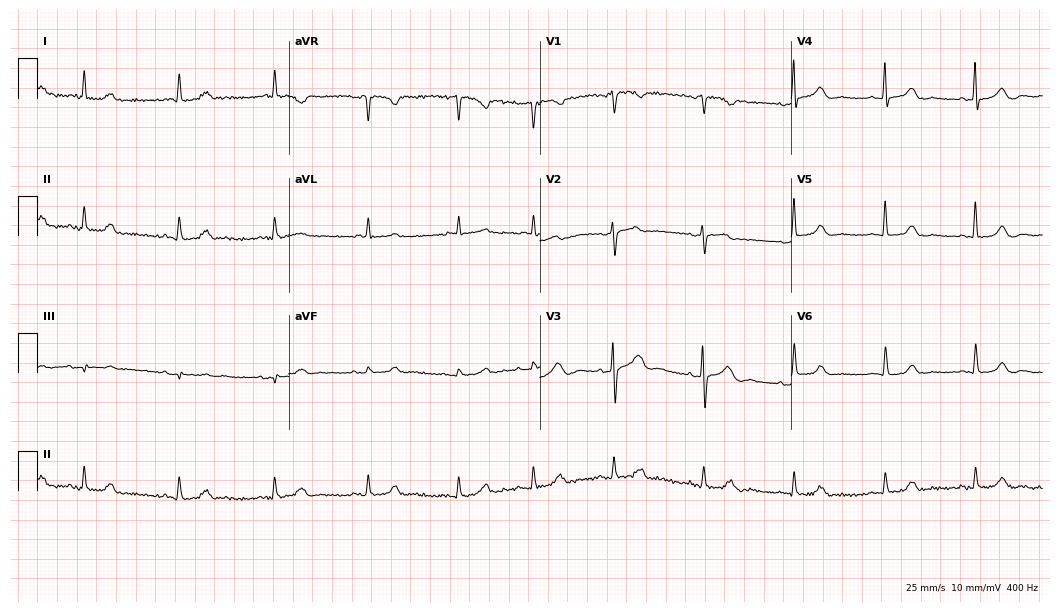
Resting 12-lead electrocardiogram (10.2-second recording at 400 Hz). Patient: a woman, 85 years old. Read as a normal ECG.